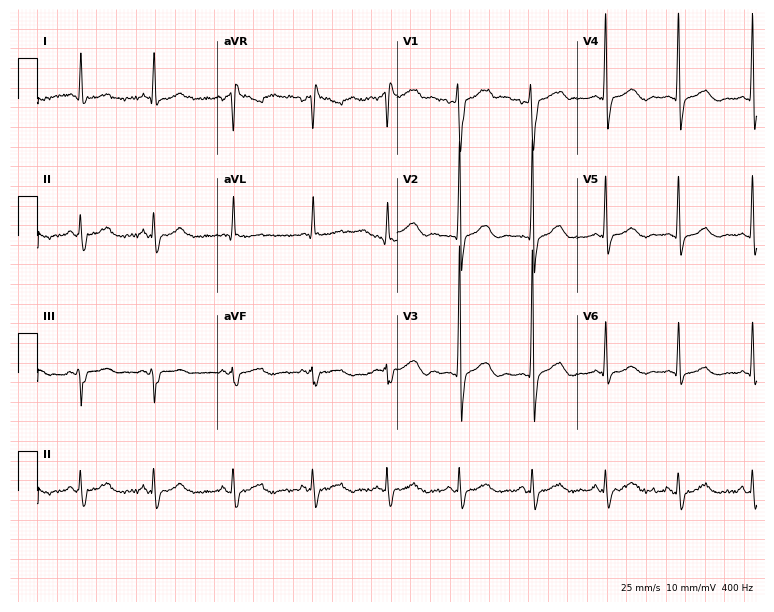
Resting 12-lead electrocardiogram (7.3-second recording at 400 Hz). Patient: a male, 49 years old. None of these six findings is recorded: first-degree AV block, right bundle branch block, left bundle branch block, sinus bradycardia, atrial fibrillation, sinus tachycardia.